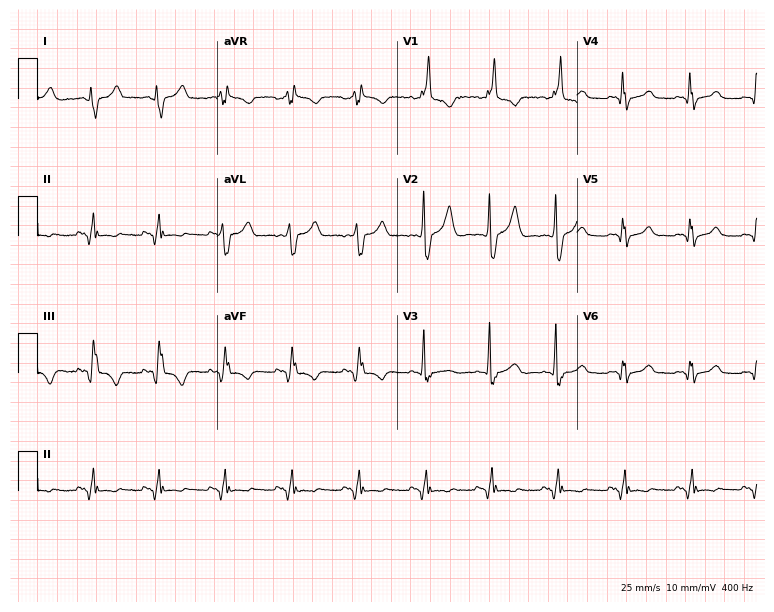
12-lead ECG from a woman, 85 years old. Shows right bundle branch block.